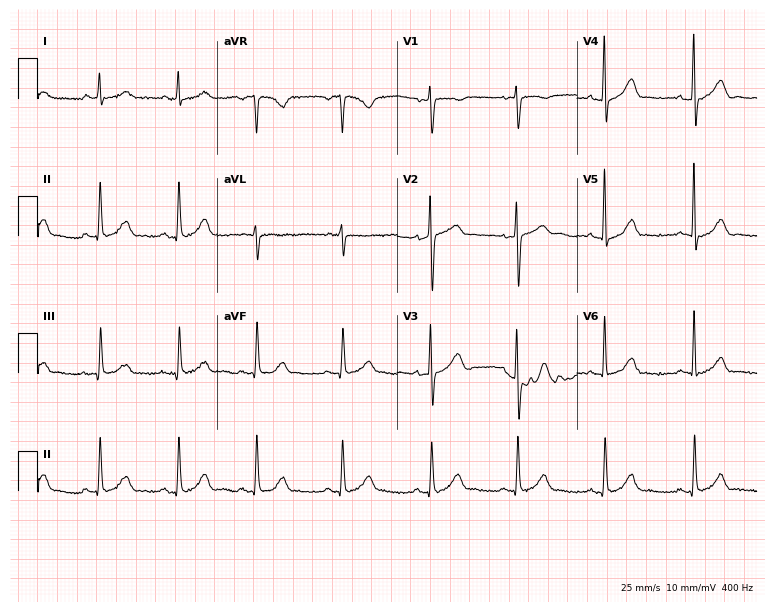
12-lead ECG from a 52-year-old male. Labelled as a normal ECG.